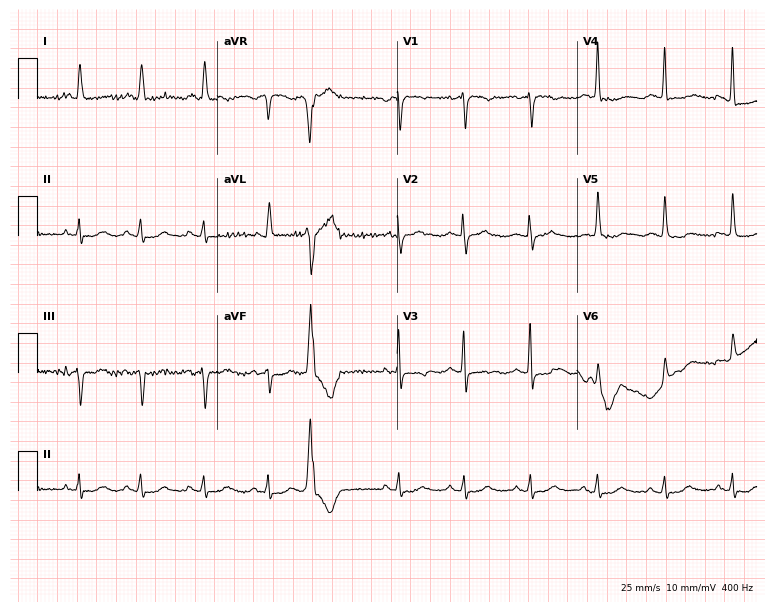
12-lead ECG from a woman, 83 years old (7.3-second recording at 400 Hz). No first-degree AV block, right bundle branch block, left bundle branch block, sinus bradycardia, atrial fibrillation or sinus tachycardia recorded for this tracing. Other findings, if any, are not listed.